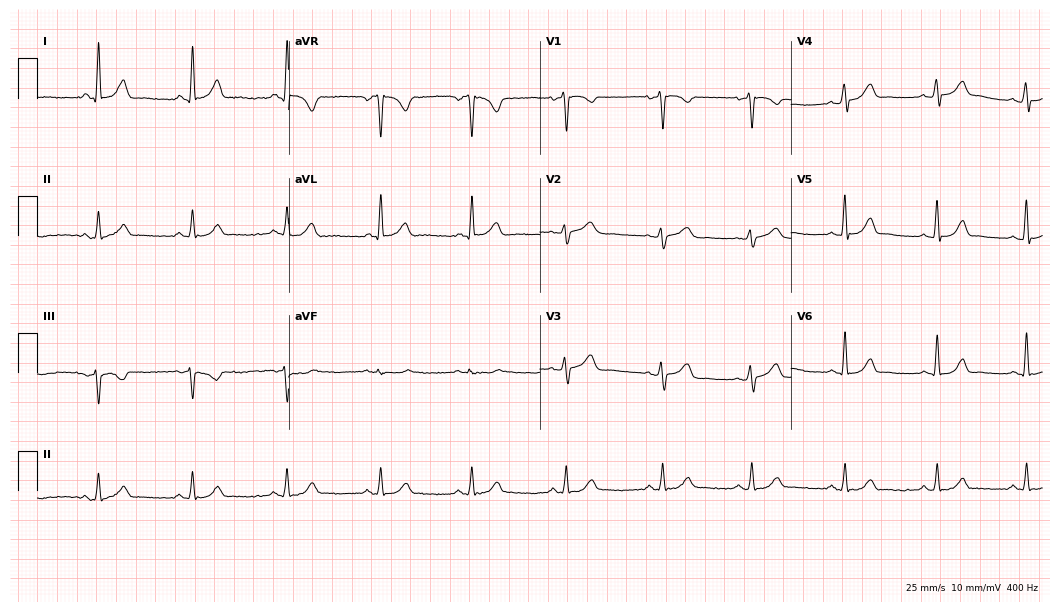
Resting 12-lead electrocardiogram. Patient: a female, 55 years old. Read as a normal ECG.